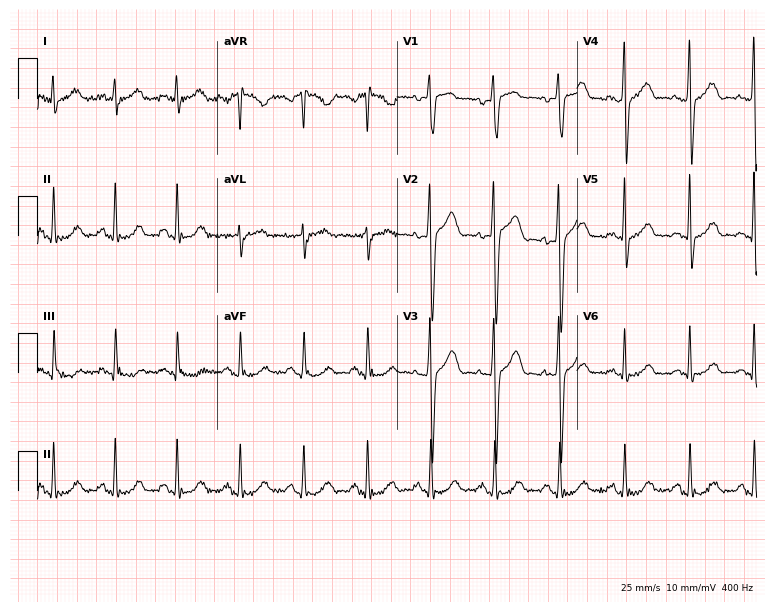
12-lead ECG from a female patient, 54 years old. Recorded interpretation: within normal limits.